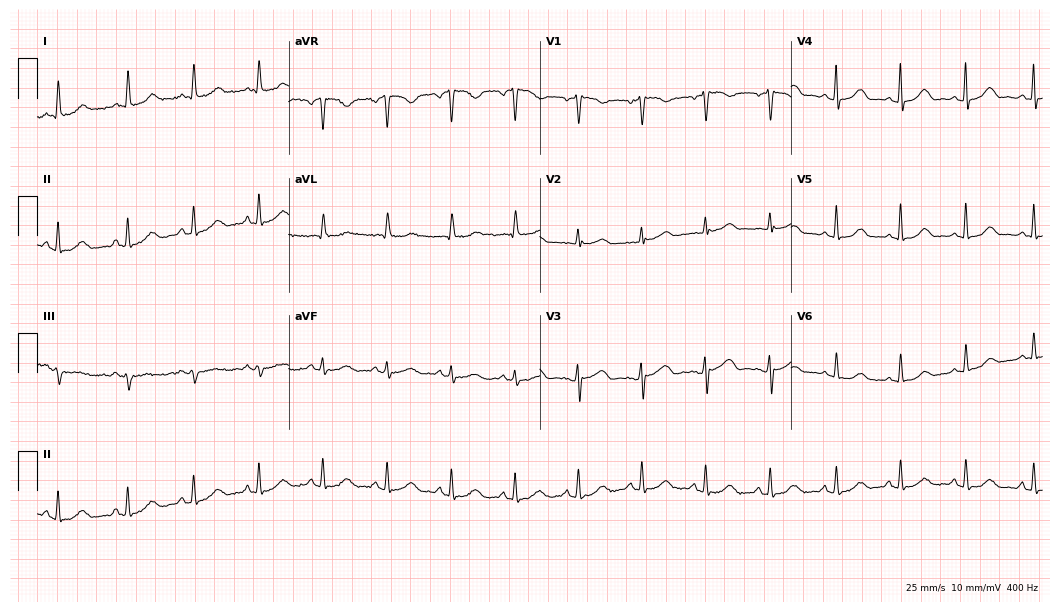
12-lead ECG from a 55-year-old woman (10.2-second recording at 400 Hz). Recorded interpretation: within normal limits.